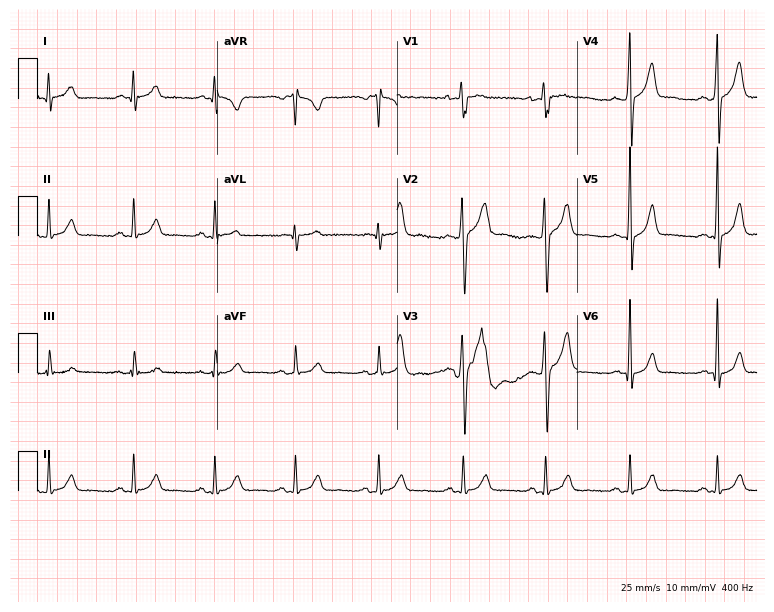
12-lead ECG from a male, 28 years old (7.3-second recording at 400 Hz). Recorded interpretation: within normal limits.